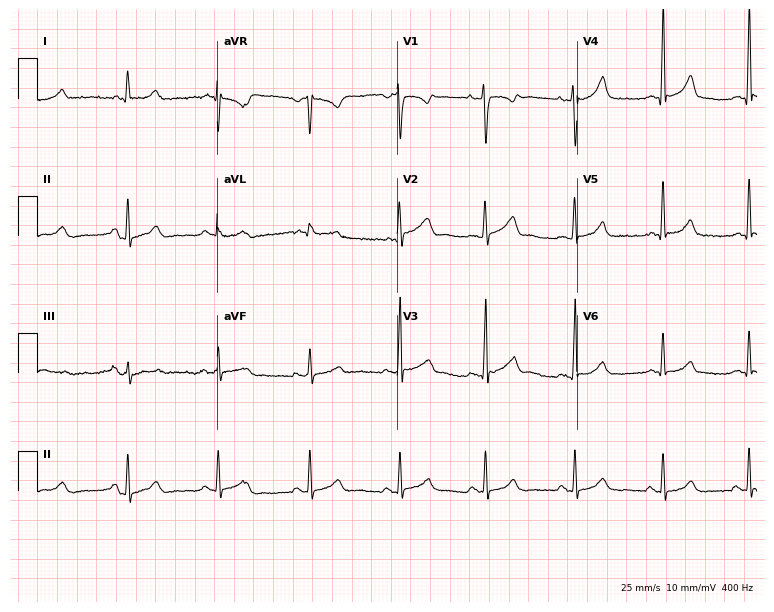
Standard 12-lead ECG recorded from a female patient, 31 years old (7.3-second recording at 400 Hz). Read as a normal ECG.